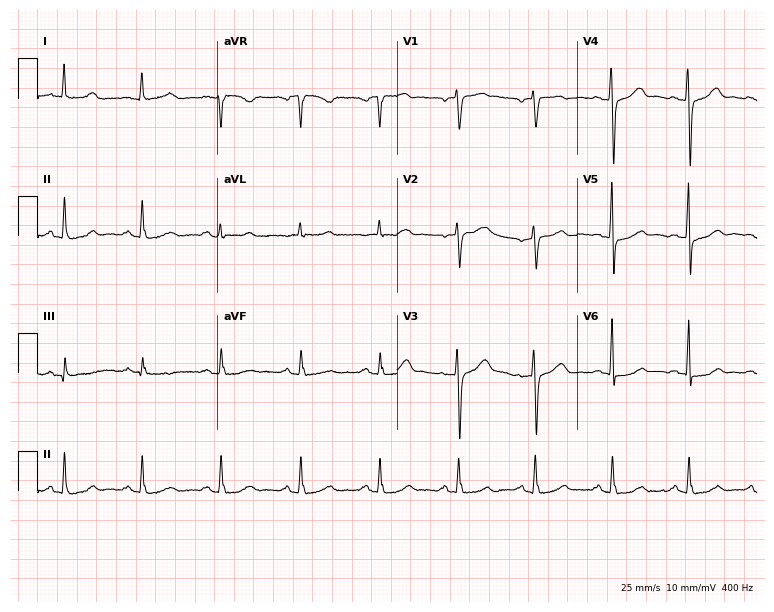
Standard 12-lead ECG recorded from a 59-year-old female. Read as a normal ECG.